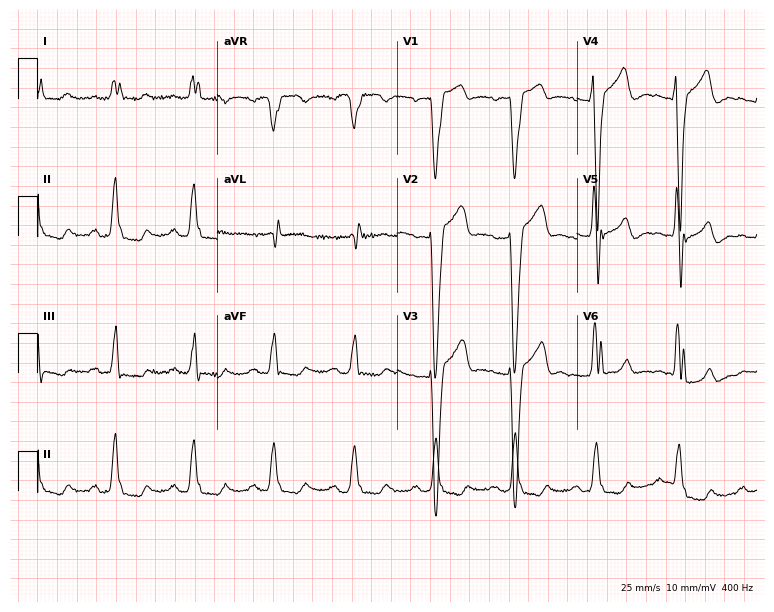
ECG — a 75-year-old woman. Findings include left bundle branch block (LBBB).